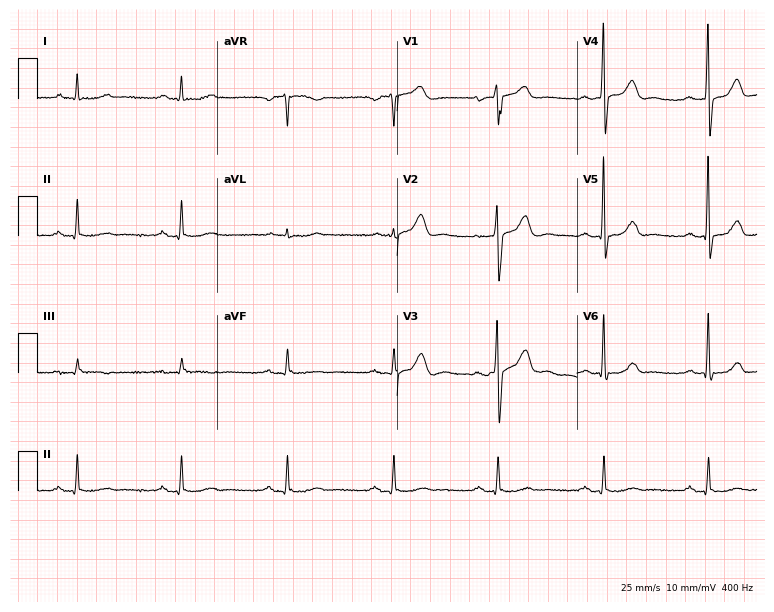
Electrocardiogram (7.3-second recording at 400 Hz), a 52-year-old male. Overall reading on record: normal ECG.